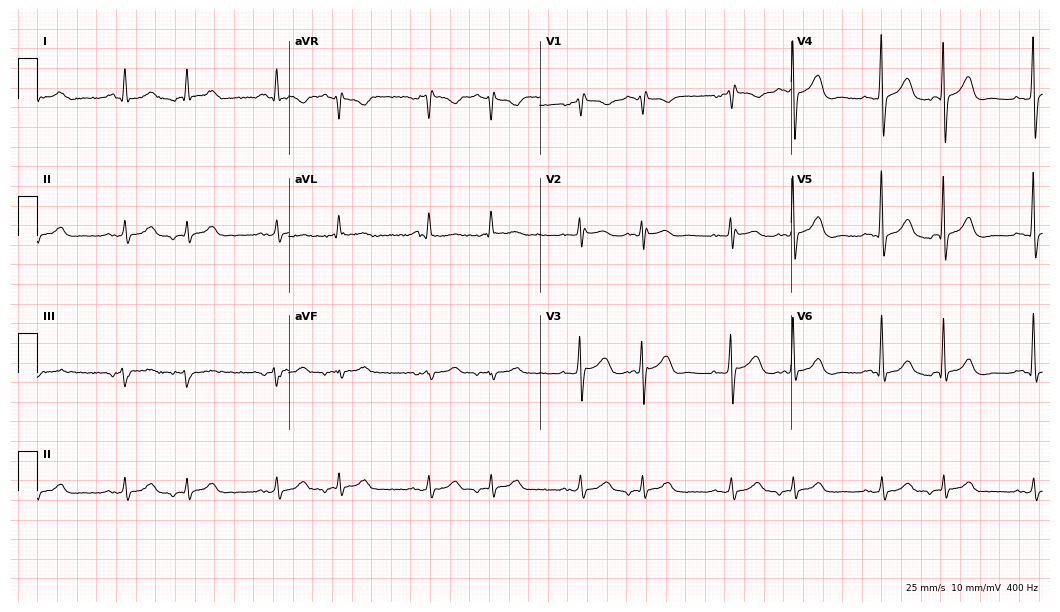
Resting 12-lead electrocardiogram (10.2-second recording at 400 Hz). Patient: a male, 81 years old. None of these six findings is recorded: first-degree AV block, right bundle branch block (RBBB), left bundle branch block (LBBB), sinus bradycardia, atrial fibrillation (AF), sinus tachycardia. Other findings, if any, are not listed.